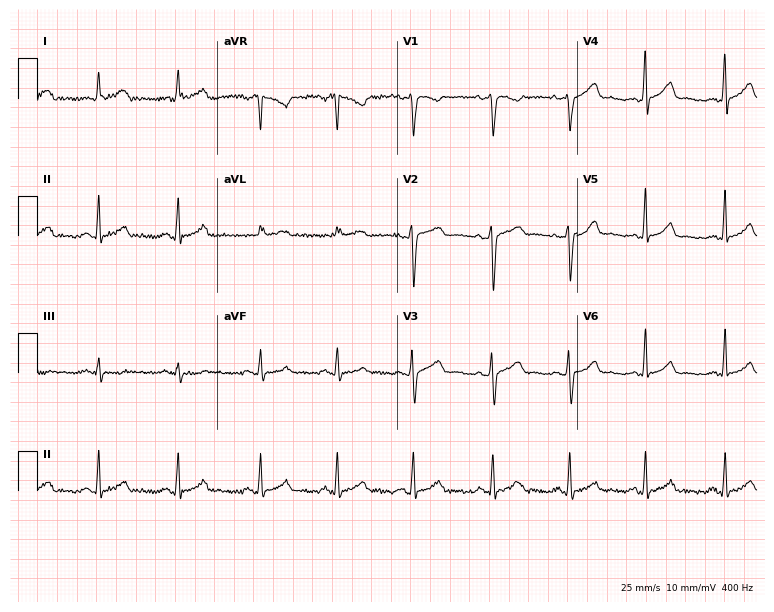
Standard 12-lead ECG recorded from a 30-year-old woman. Read as a normal ECG.